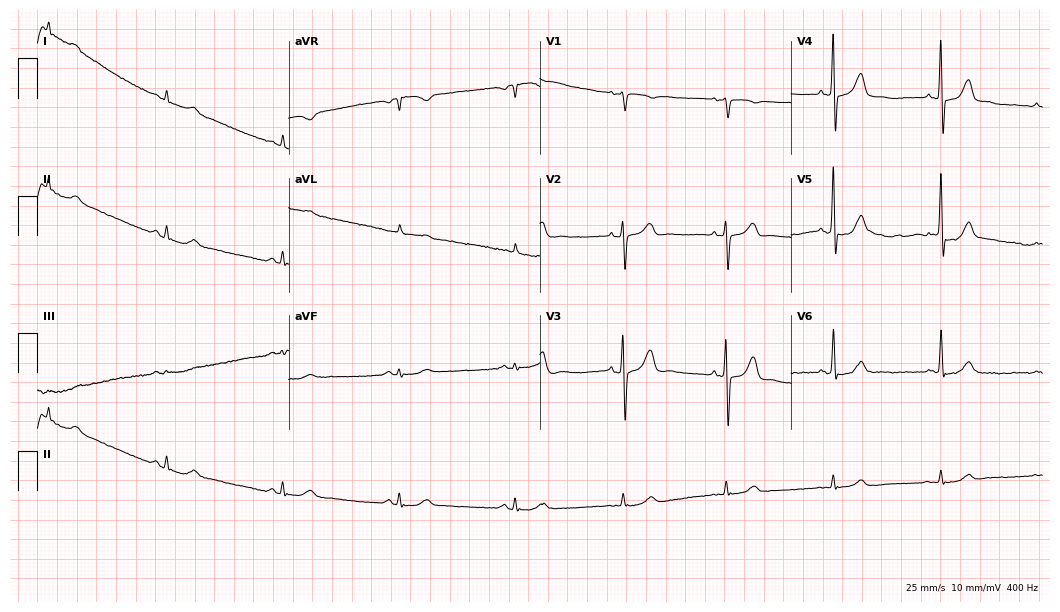
ECG — a male, 71 years old. Labelled as a normal ECG.